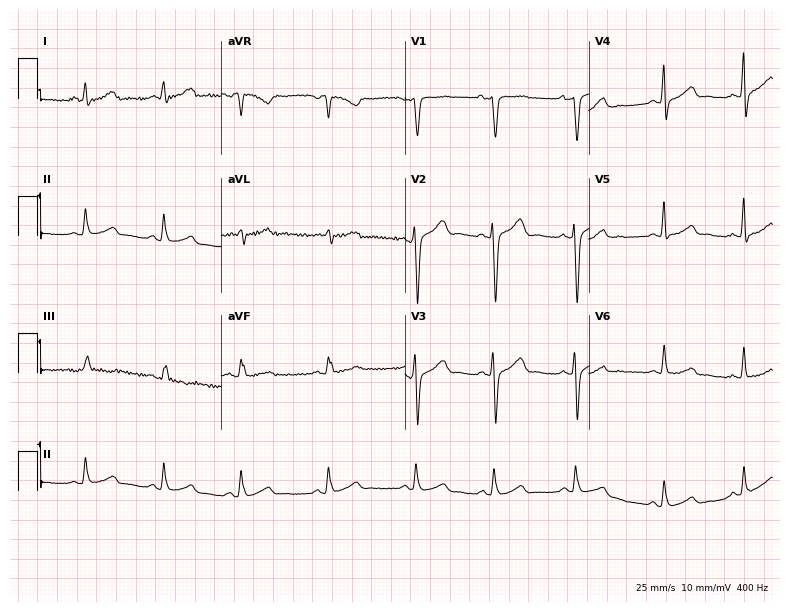
12-lead ECG from a 41-year-old female patient. Recorded interpretation: within normal limits.